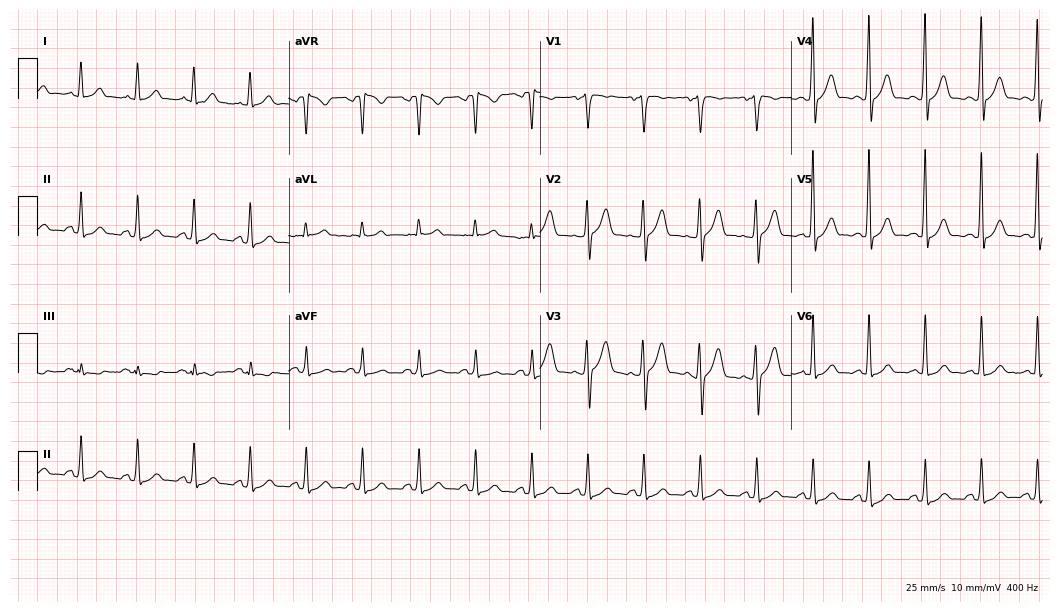
Resting 12-lead electrocardiogram. Patient: a 46-year-old male. The tracing shows sinus tachycardia (a sinus rate of 100 beats per minute or more).